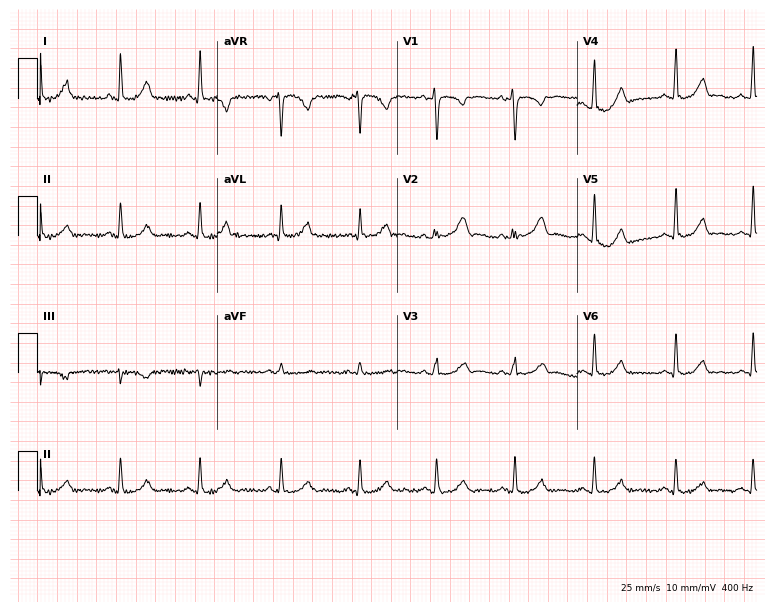
Electrocardiogram, a female patient, 38 years old. Overall reading on record: normal ECG.